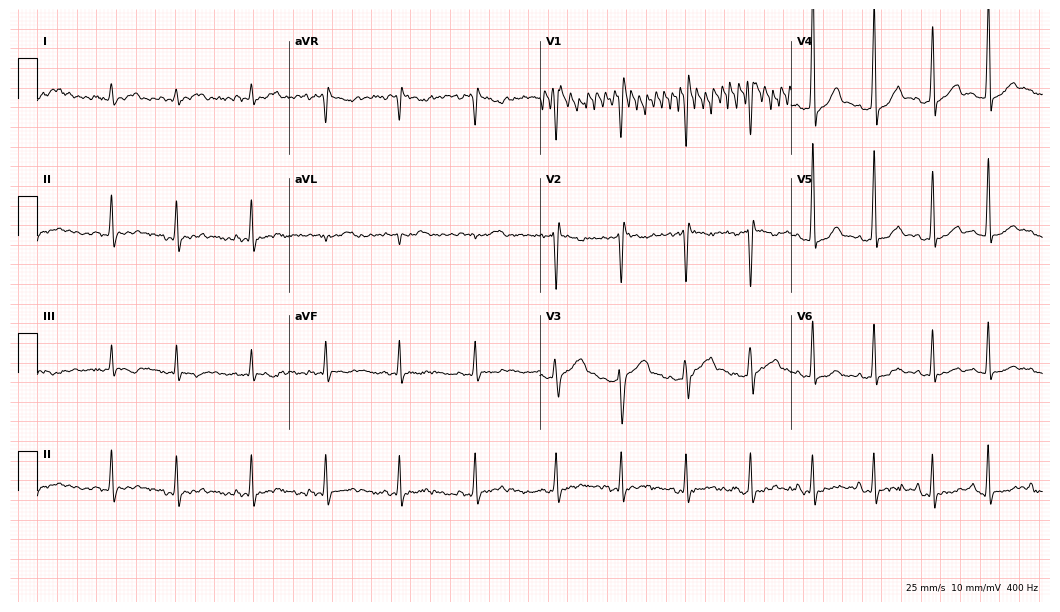
12-lead ECG (10.2-second recording at 400 Hz) from a 24-year-old man. Screened for six findings — first-degree AV block, right bundle branch block, left bundle branch block, sinus bradycardia, atrial fibrillation, sinus tachycardia — none is recorded. Findings outside these six are not listed.